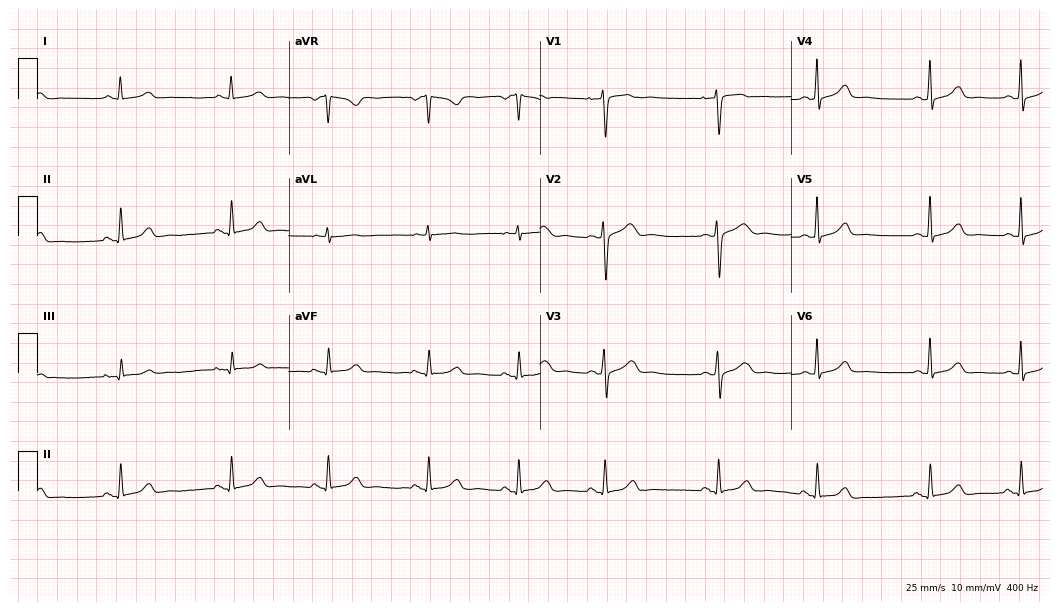
Resting 12-lead electrocardiogram (10.2-second recording at 400 Hz). Patient: a 37-year-old female. Read as a normal ECG.